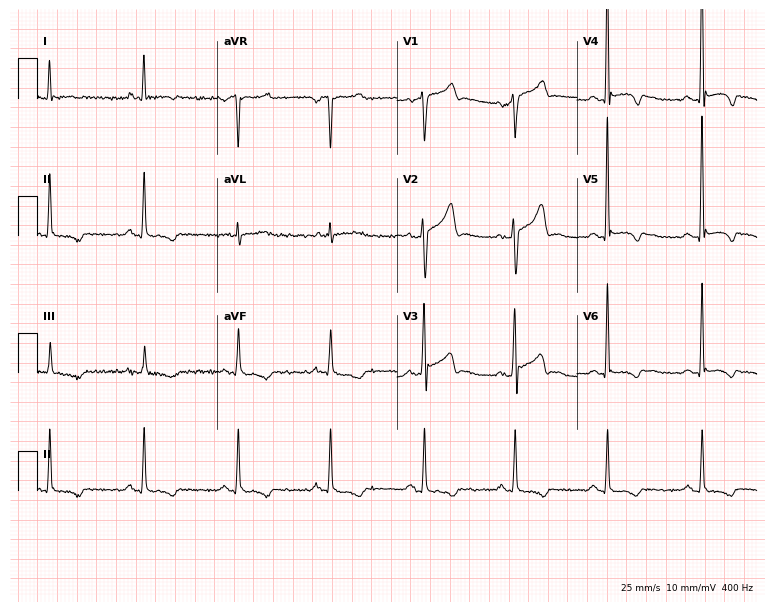
12-lead ECG from a 48-year-old man. Screened for six findings — first-degree AV block, right bundle branch block, left bundle branch block, sinus bradycardia, atrial fibrillation, sinus tachycardia — none is recorded. Findings outside these six are not listed.